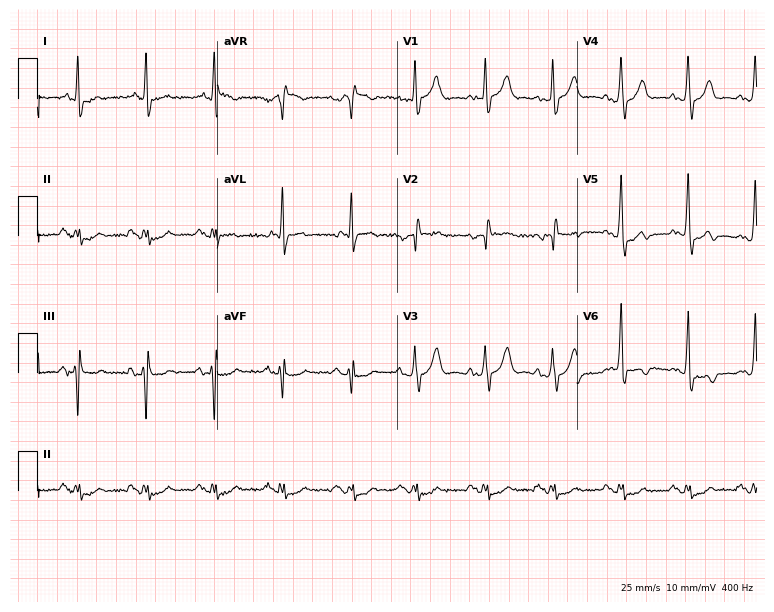
ECG (7.3-second recording at 400 Hz) — an 85-year-old man. Screened for six findings — first-degree AV block, right bundle branch block (RBBB), left bundle branch block (LBBB), sinus bradycardia, atrial fibrillation (AF), sinus tachycardia — none is recorded.